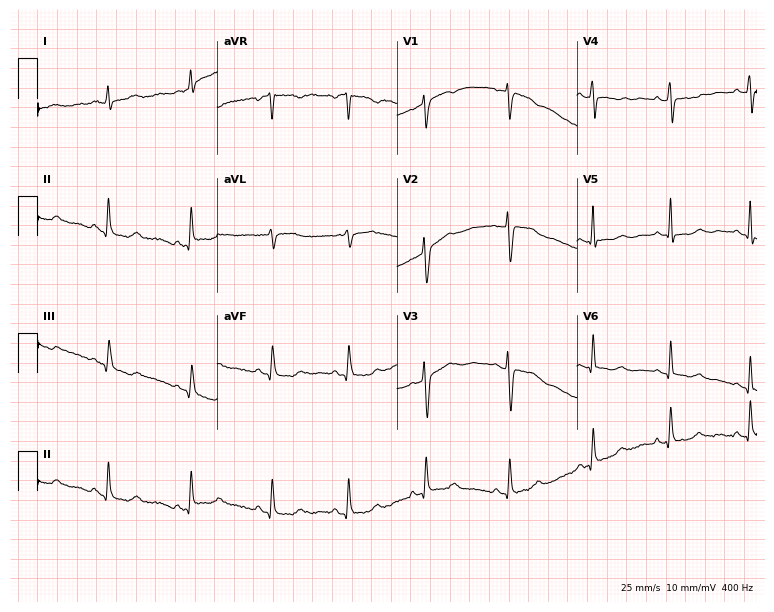
12-lead ECG from a 41-year-old female. Screened for six findings — first-degree AV block, right bundle branch block (RBBB), left bundle branch block (LBBB), sinus bradycardia, atrial fibrillation (AF), sinus tachycardia — none is recorded. Only these six findings were labelled.